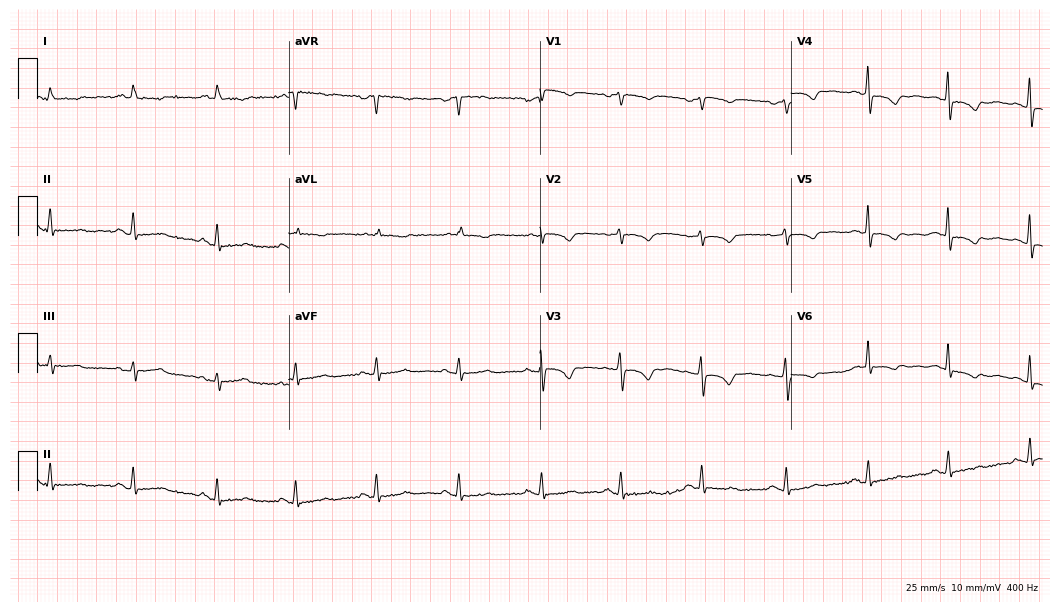
Electrocardiogram (10.2-second recording at 400 Hz), a 53-year-old female patient. Of the six screened findings (first-degree AV block, right bundle branch block, left bundle branch block, sinus bradycardia, atrial fibrillation, sinus tachycardia), none is recorded. Findings outside these six are not listed.